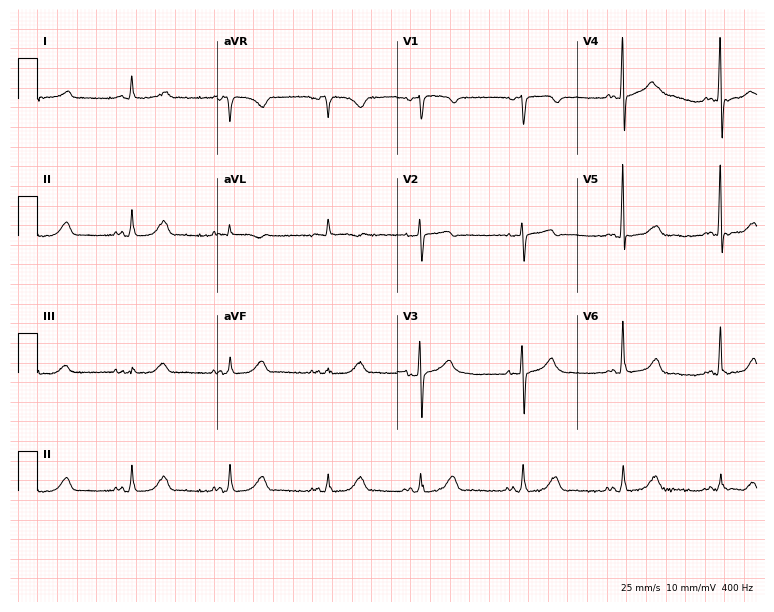
Standard 12-lead ECG recorded from a man, 69 years old (7.3-second recording at 400 Hz). None of these six findings is recorded: first-degree AV block, right bundle branch block, left bundle branch block, sinus bradycardia, atrial fibrillation, sinus tachycardia. Only these six findings were labelled.